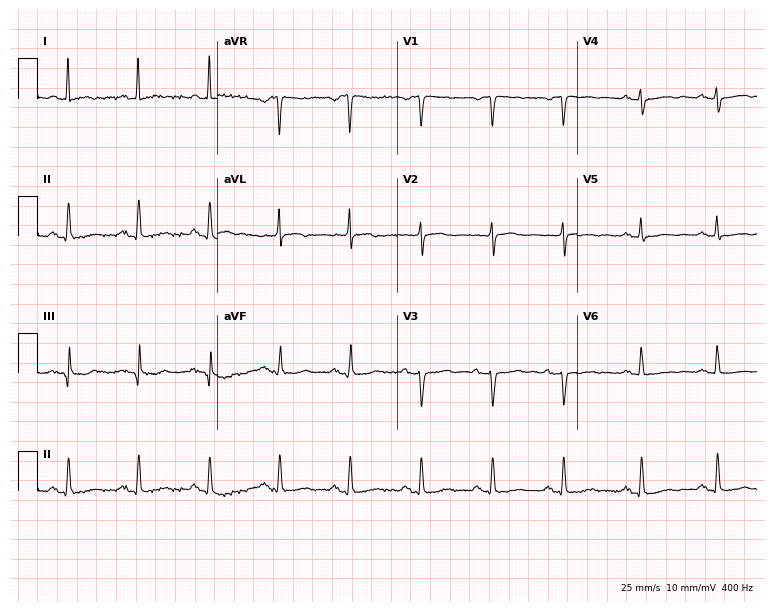
Standard 12-lead ECG recorded from a female patient, 66 years old (7.3-second recording at 400 Hz). None of these six findings is recorded: first-degree AV block, right bundle branch block (RBBB), left bundle branch block (LBBB), sinus bradycardia, atrial fibrillation (AF), sinus tachycardia.